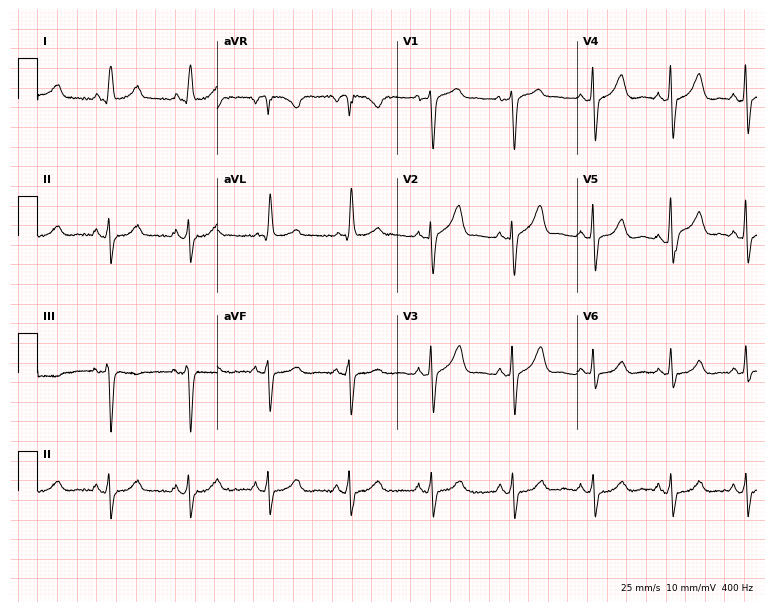
Resting 12-lead electrocardiogram. Patient: a man, 75 years old. None of these six findings is recorded: first-degree AV block, right bundle branch block, left bundle branch block, sinus bradycardia, atrial fibrillation, sinus tachycardia.